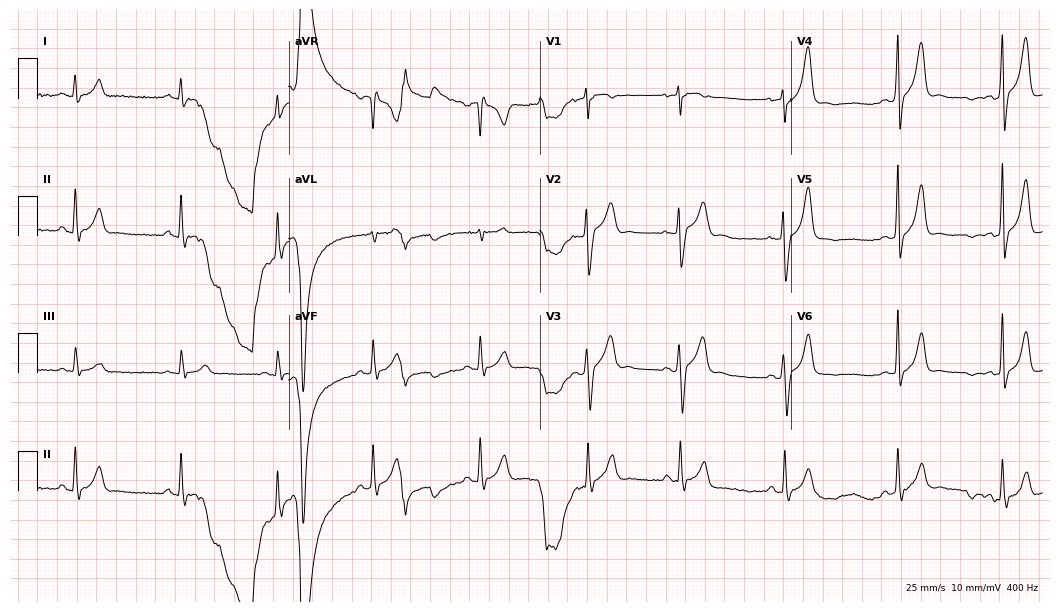
12-lead ECG from a male, 19 years old (10.2-second recording at 400 Hz). Recorded interpretation: within normal limits.